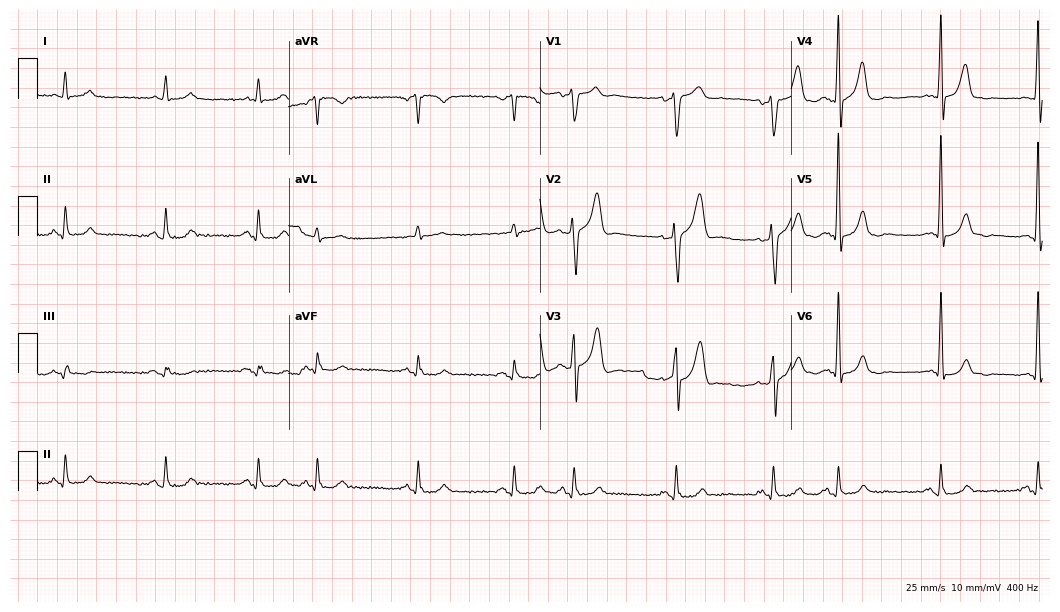
12-lead ECG from a male patient, 81 years old. Screened for six findings — first-degree AV block, right bundle branch block, left bundle branch block, sinus bradycardia, atrial fibrillation, sinus tachycardia — none is recorded. Findings outside these six are not listed.